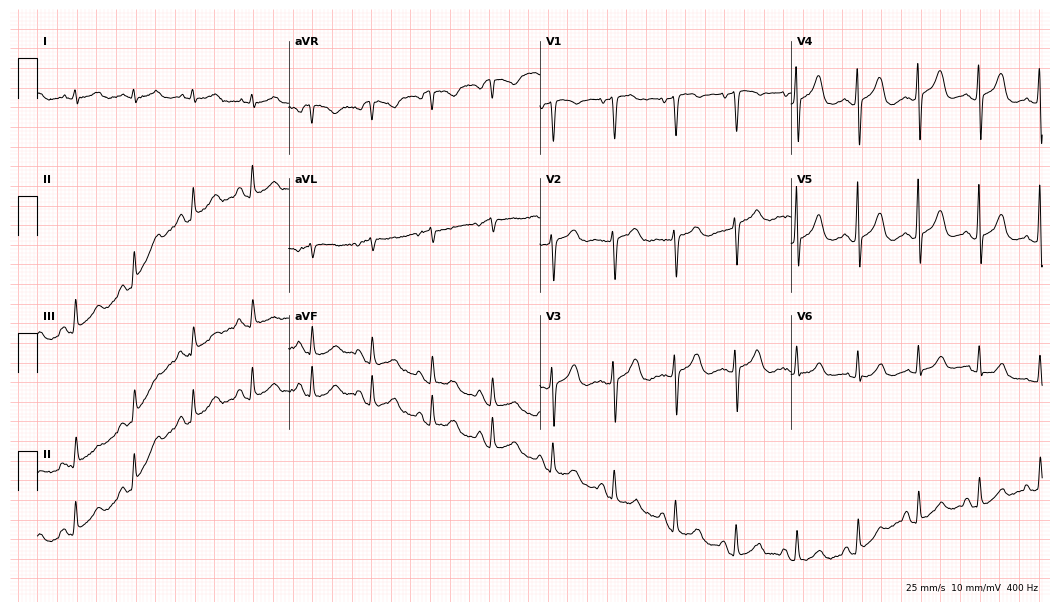
12-lead ECG (10.2-second recording at 400 Hz) from a female, 77 years old. Labelled as a normal ECG.